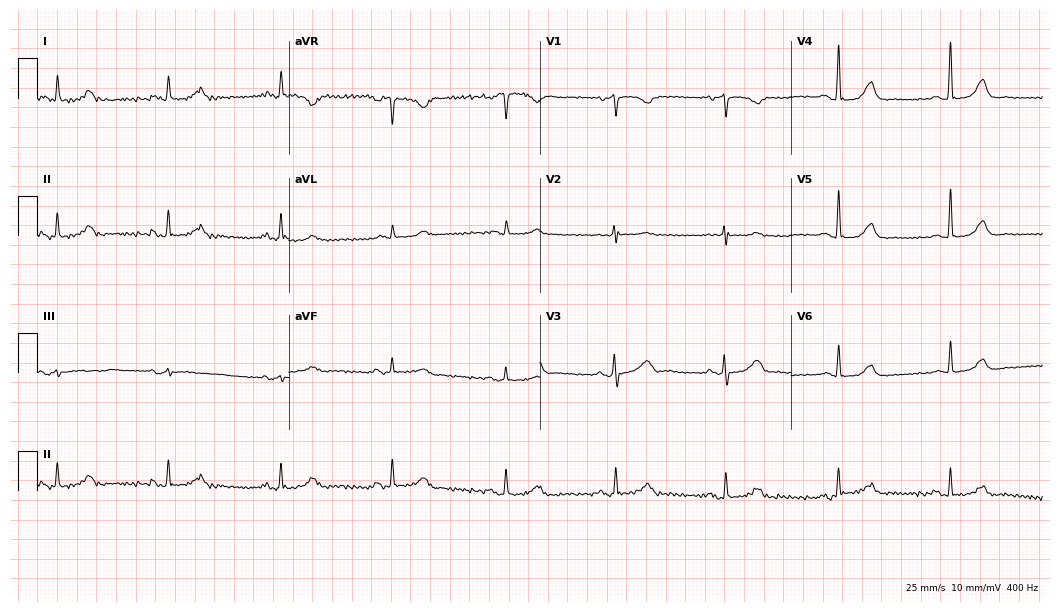
12-lead ECG from a female patient, 62 years old. Labelled as a normal ECG.